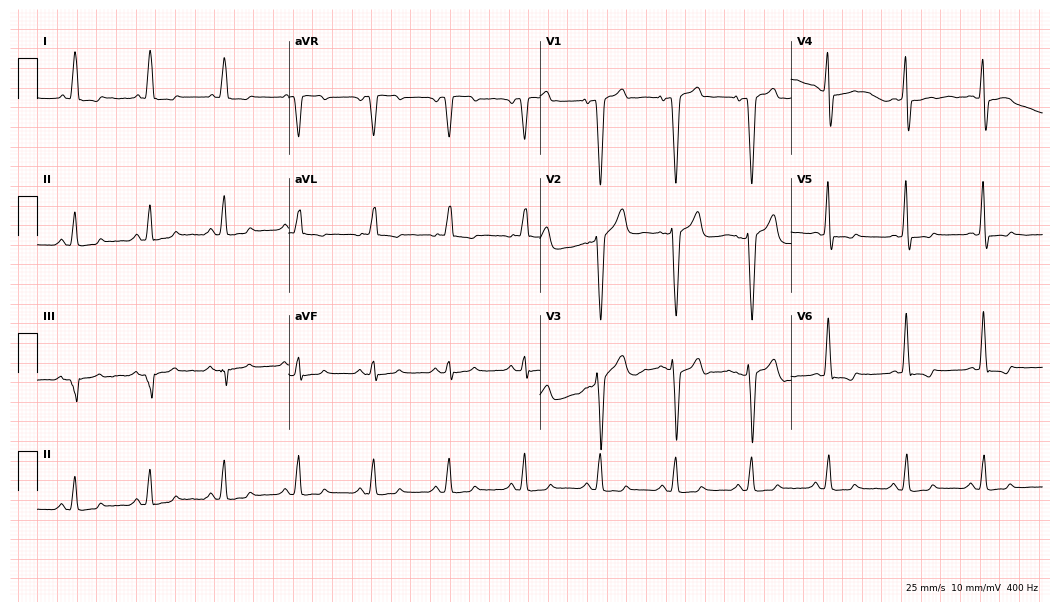
12-lead ECG from a man, 40 years old (10.2-second recording at 400 Hz). No first-degree AV block, right bundle branch block, left bundle branch block, sinus bradycardia, atrial fibrillation or sinus tachycardia recorded for this tracing.